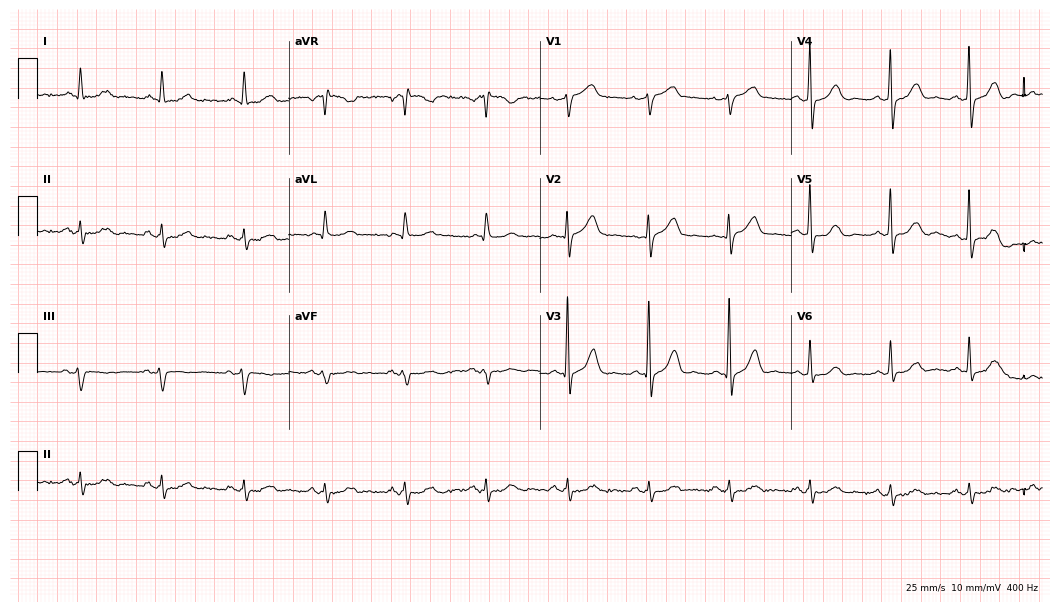
12-lead ECG from a man, 66 years old (10.2-second recording at 400 Hz). Recorded interpretation: within normal limits.